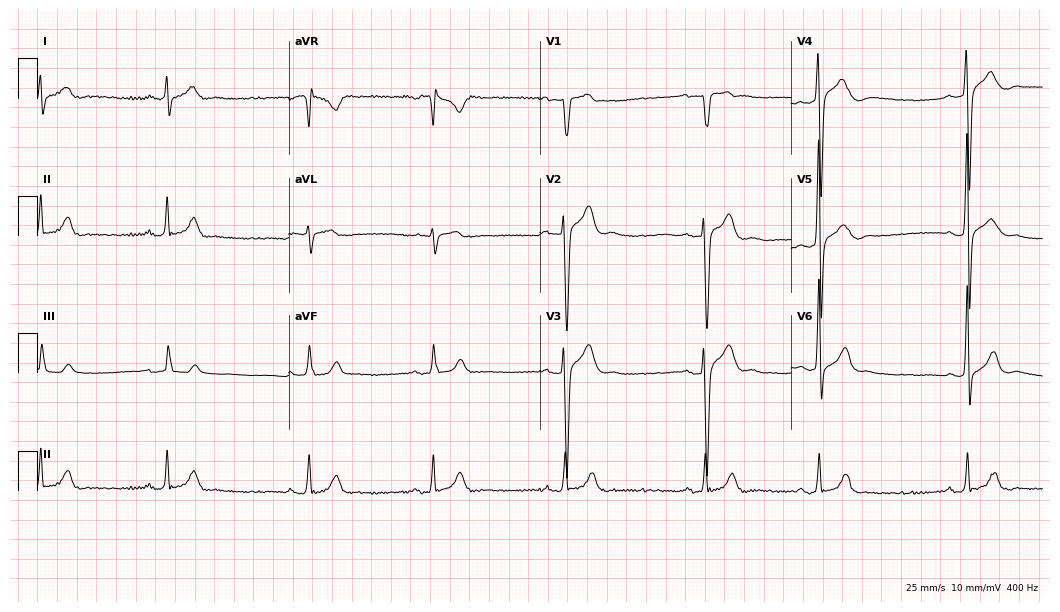
Standard 12-lead ECG recorded from an 18-year-old male. The tracing shows sinus bradycardia (a sinus rate of 50 beats per minute or less).